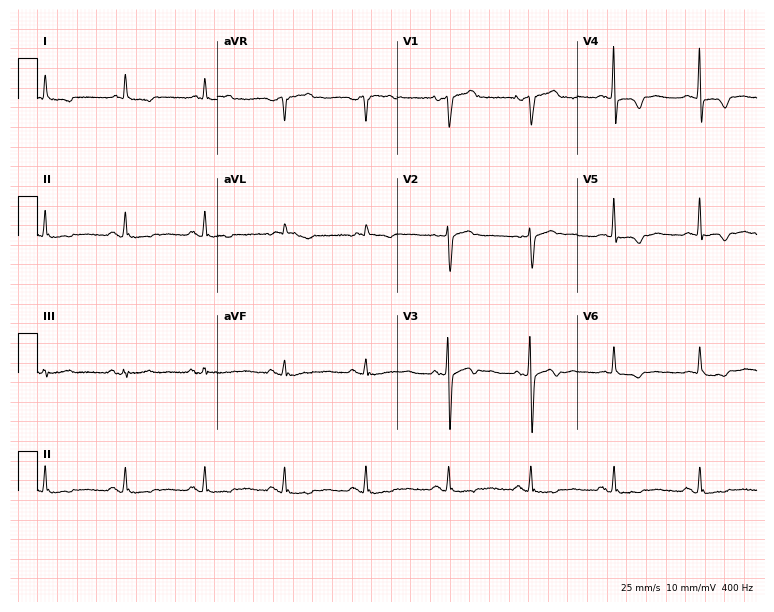
Electrocardiogram, a male patient, 70 years old. Of the six screened findings (first-degree AV block, right bundle branch block (RBBB), left bundle branch block (LBBB), sinus bradycardia, atrial fibrillation (AF), sinus tachycardia), none is recorded. Other findings, if any, are not listed.